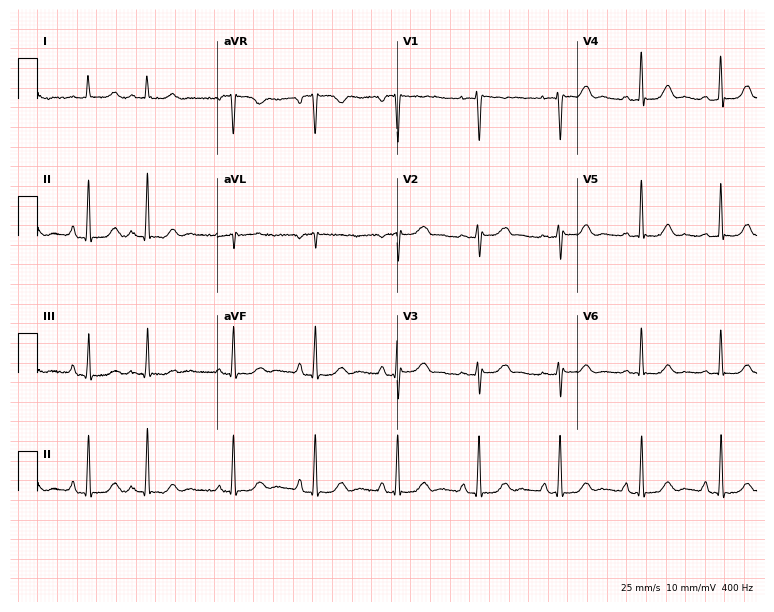
12-lead ECG (7.3-second recording at 400 Hz) from a woman, 50 years old. Screened for six findings — first-degree AV block, right bundle branch block (RBBB), left bundle branch block (LBBB), sinus bradycardia, atrial fibrillation (AF), sinus tachycardia — none is recorded.